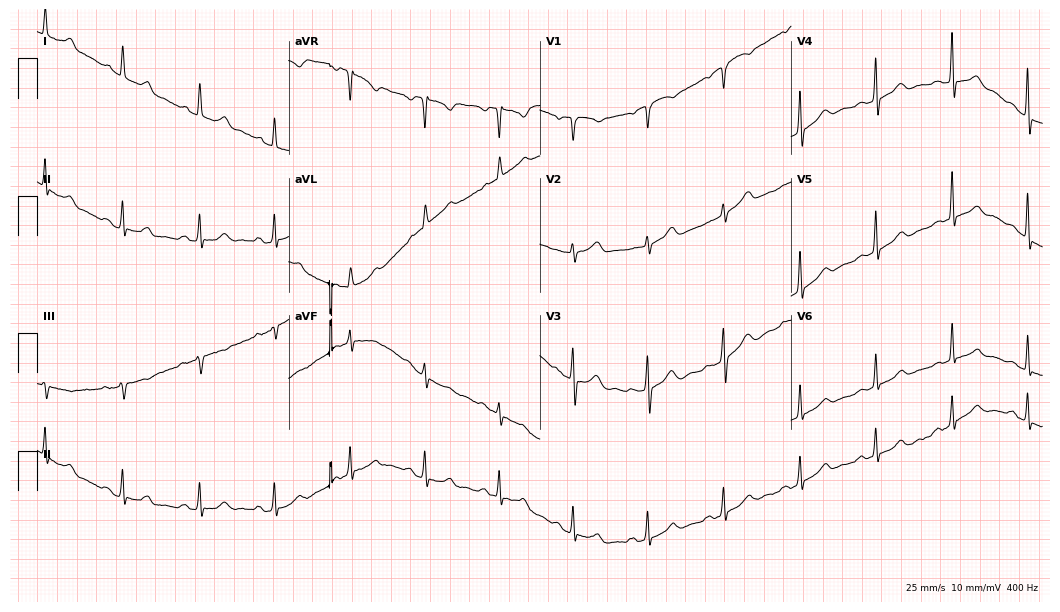
ECG (10.2-second recording at 400 Hz) — a 67-year-old woman. Labelled as a normal ECG.